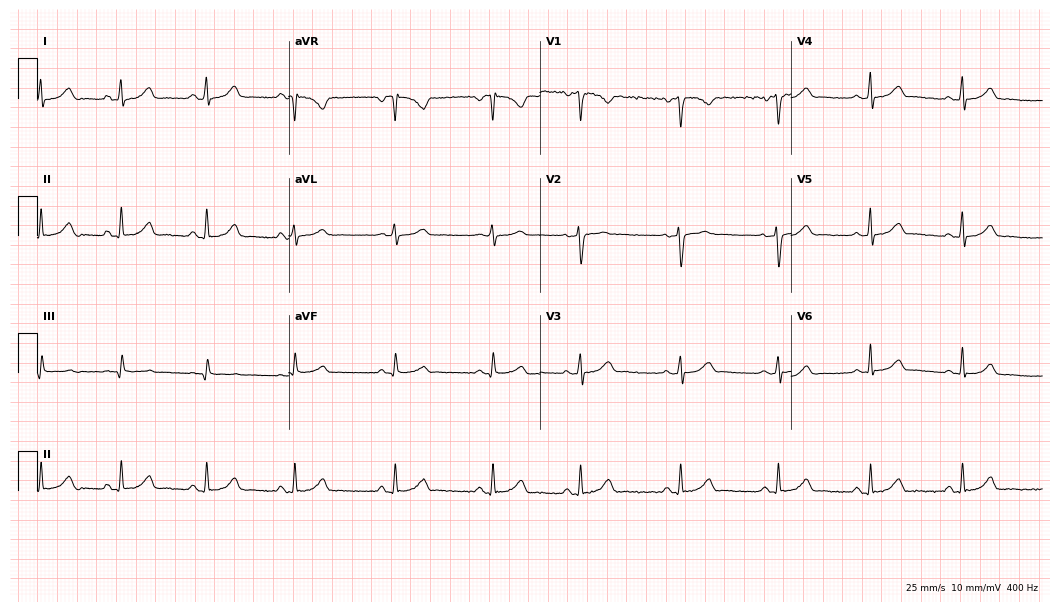
12-lead ECG from a female, 26 years old. Recorded interpretation: within normal limits.